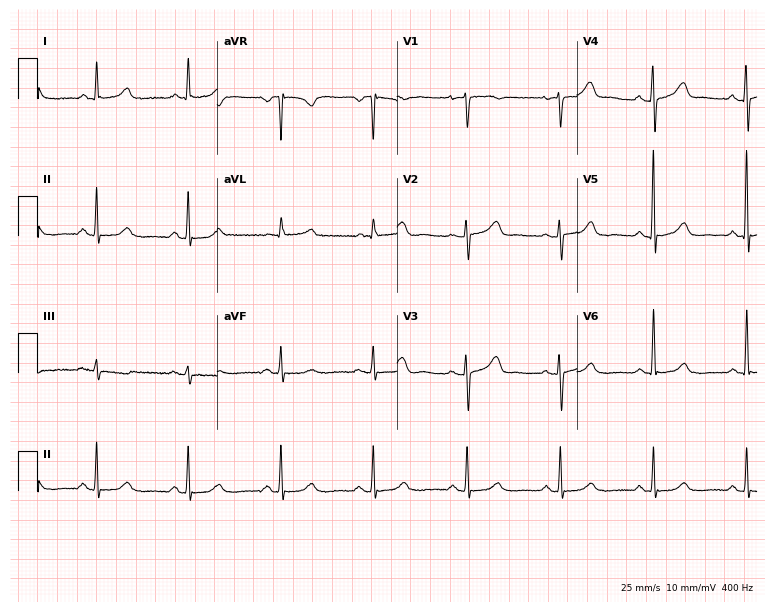
ECG (7.3-second recording at 400 Hz) — a 64-year-old female patient. Labelled as a normal ECG.